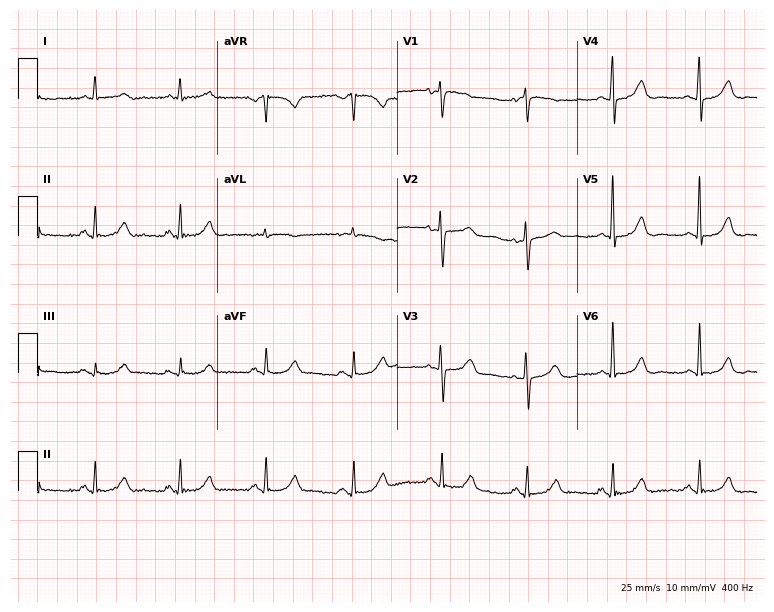
12-lead ECG from a female, 69 years old. Screened for six findings — first-degree AV block, right bundle branch block, left bundle branch block, sinus bradycardia, atrial fibrillation, sinus tachycardia — none is recorded. Other findings, if any, are not listed.